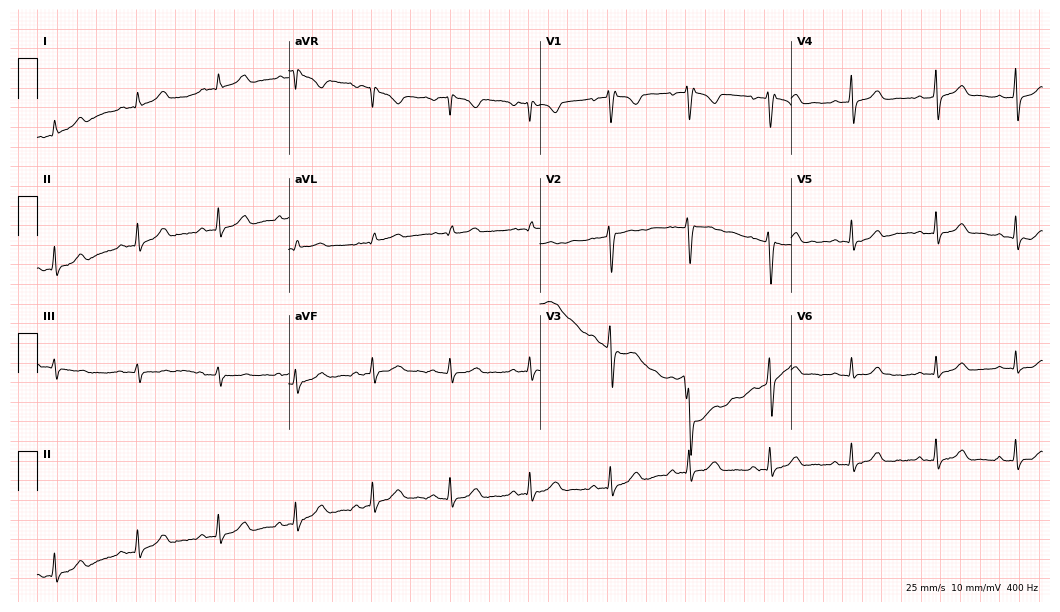
Electrocardiogram (10.2-second recording at 400 Hz), a 23-year-old female. Overall reading on record: normal ECG.